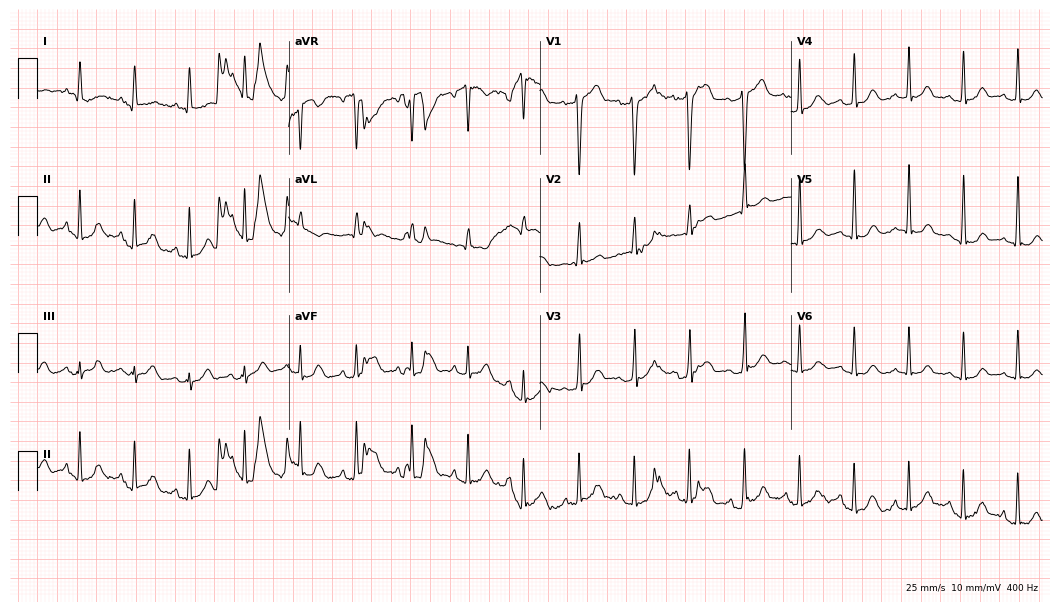
12-lead ECG from a male, 28 years old. Screened for six findings — first-degree AV block, right bundle branch block, left bundle branch block, sinus bradycardia, atrial fibrillation, sinus tachycardia — none is recorded.